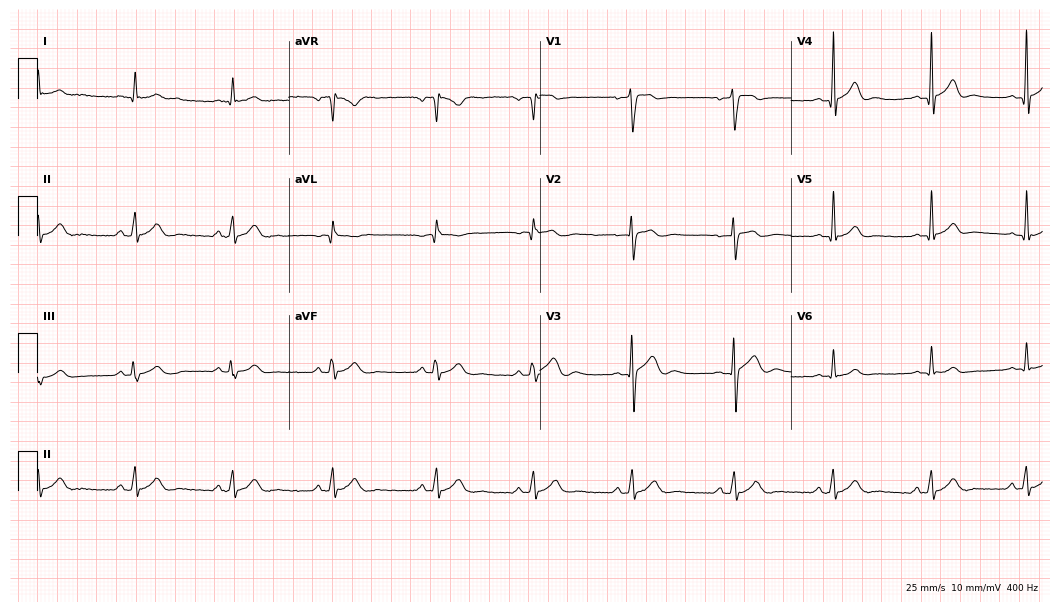
Standard 12-lead ECG recorded from a male, 25 years old. Read as a normal ECG.